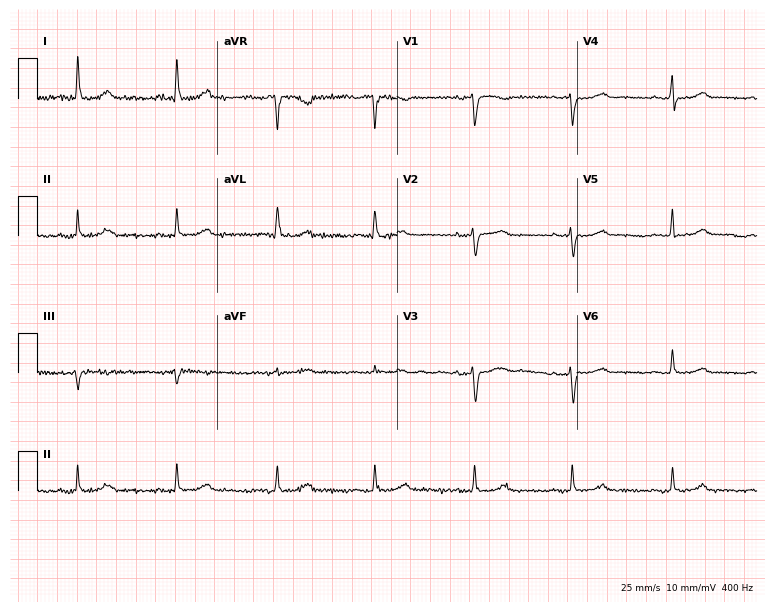
12-lead ECG from a 72-year-old female patient. Recorded interpretation: within normal limits.